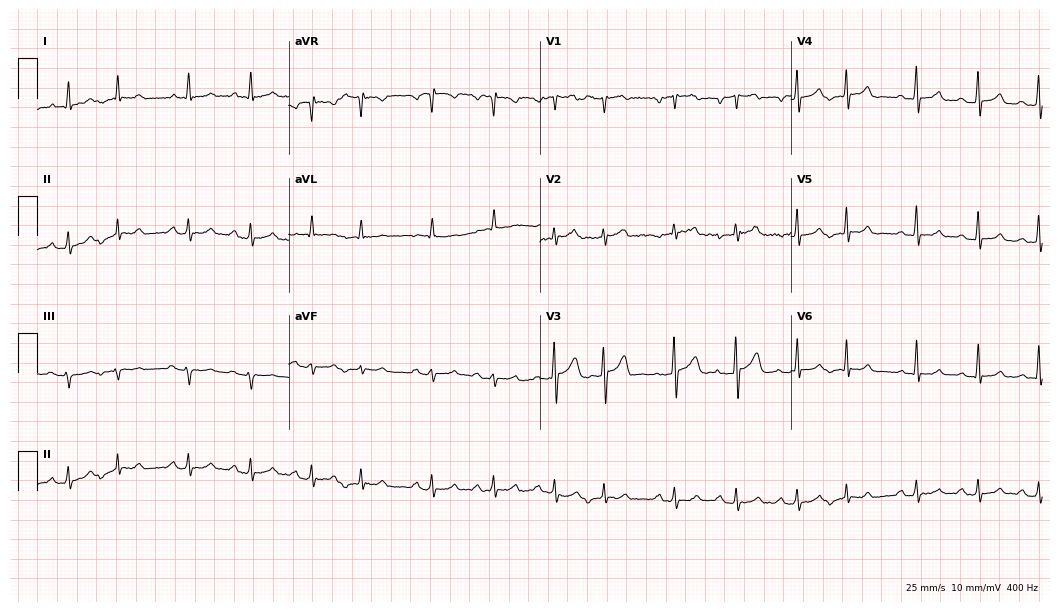
Standard 12-lead ECG recorded from a man, 53 years old (10.2-second recording at 400 Hz). Read as a normal ECG.